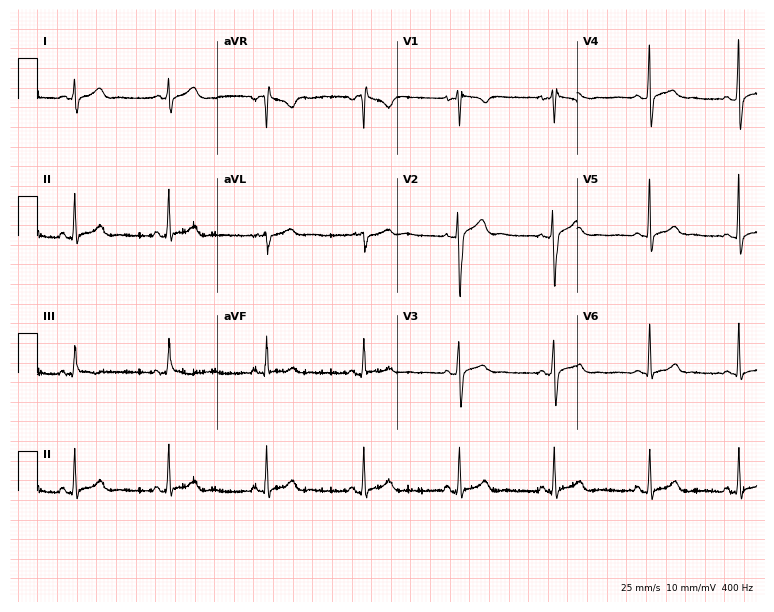
Electrocardiogram, an 18-year-old man. Overall reading on record: normal ECG.